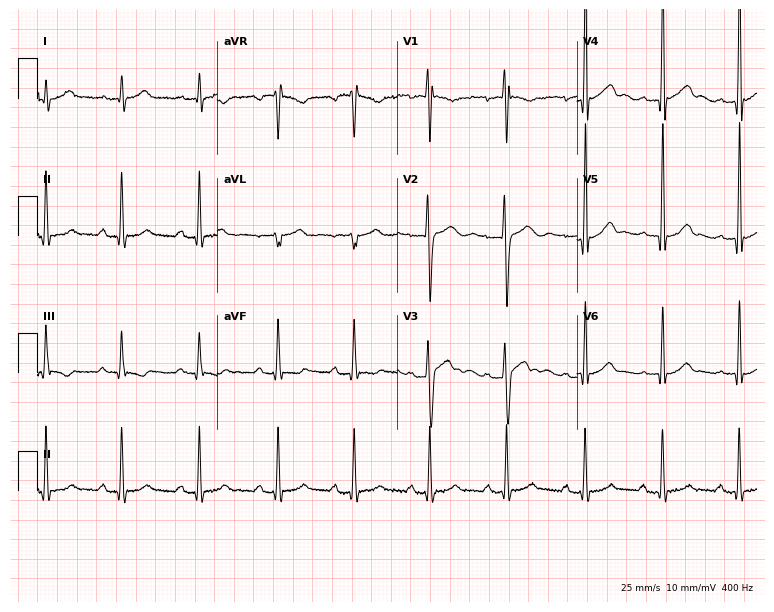
12-lead ECG from an 18-year-old male (7.3-second recording at 400 Hz). No first-degree AV block, right bundle branch block, left bundle branch block, sinus bradycardia, atrial fibrillation or sinus tachycardia recorded for this tracing.